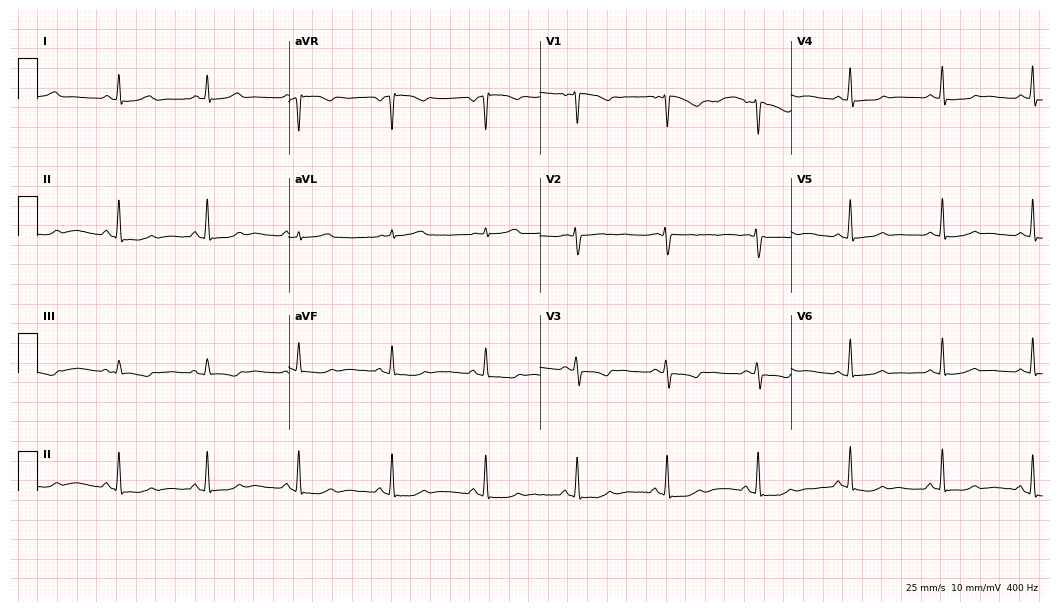
12-lead ECG (10.2-second recording at 400 Hz) from a 56-year-old female. Screened for six findings — first-degree AV block, right bundle branch block, left bundle branch block, sinus bradycardia, atrial fibrillation, sinus tachycardia — none is recorded.